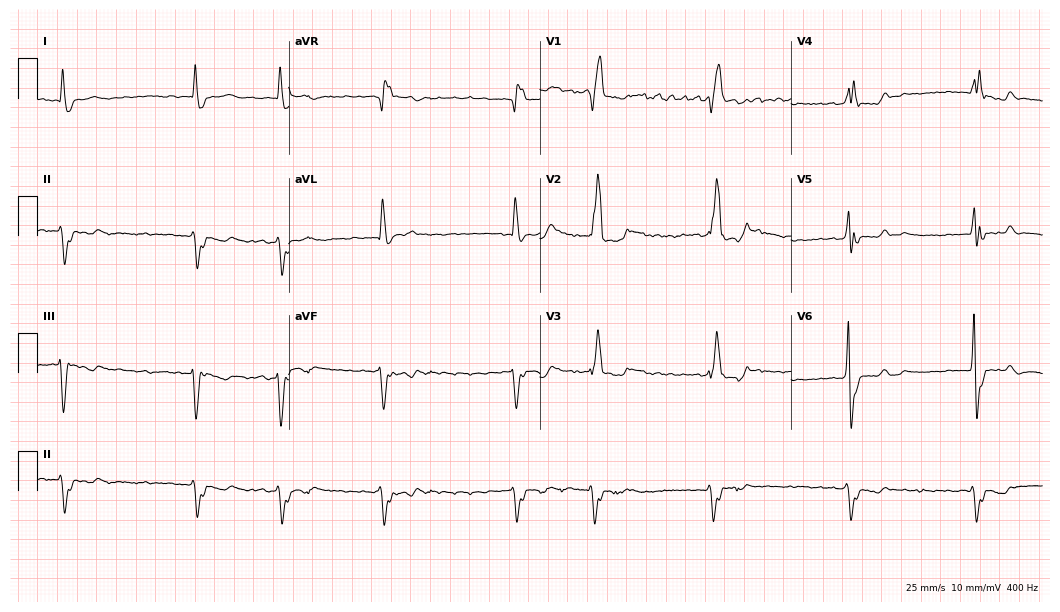
ECG — a male, 68 years old. Findings include atrial fibrillation (AF).